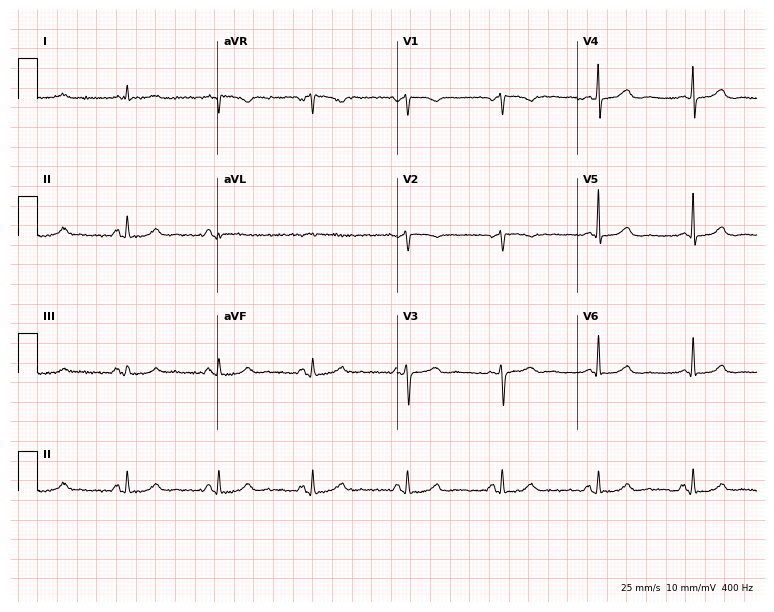
Standard 12-lead ECG recorded from a male patient, 73 years old. Read as a normal ECG.